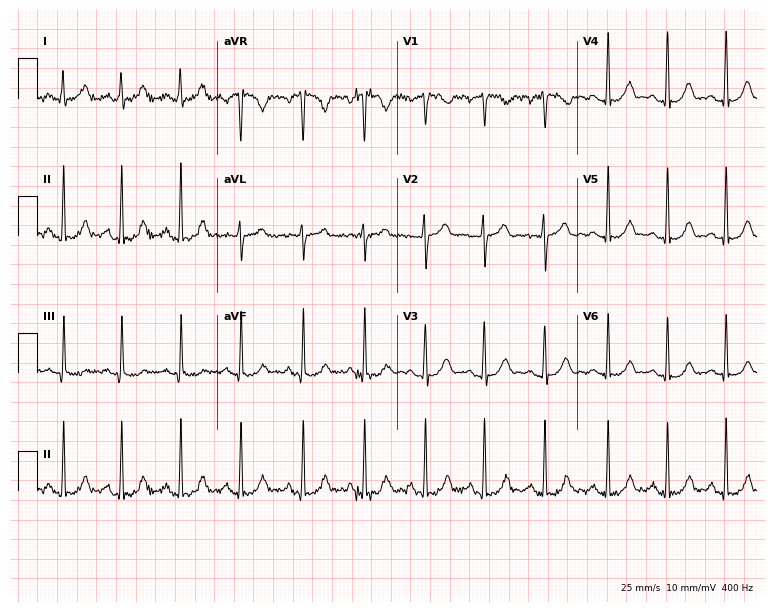
12-lead ECG from a woman, 27 years old. Recorded interpretation: within normal limits.